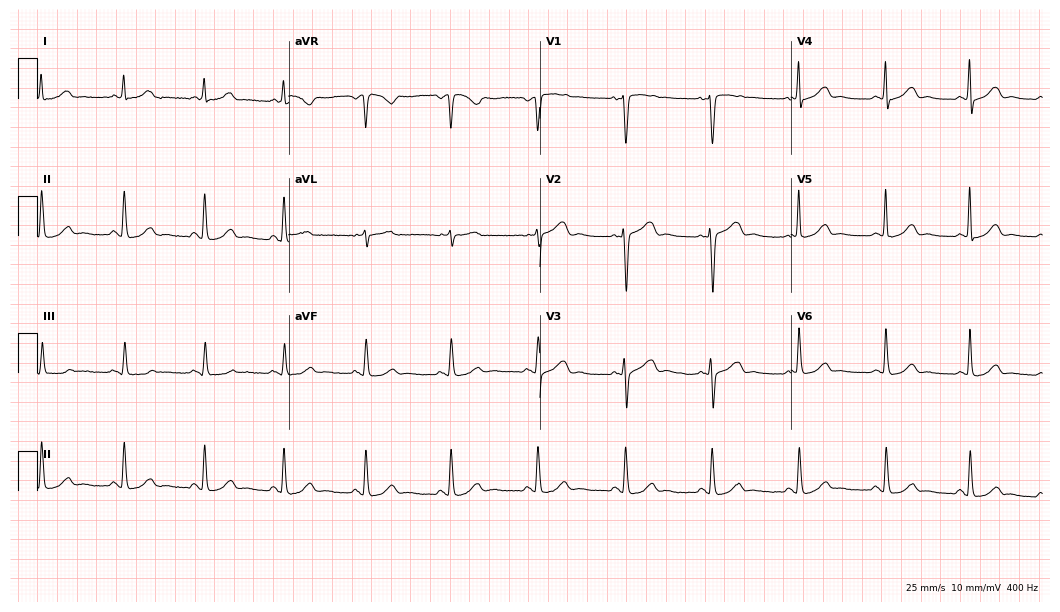
Resting 12-lead electrocardiogram. Patient: a female, 59 years old. None of these six findings is recorded: first-degree AV block, right bundle branch block, left bundle branch block, sinus bradycardia, atrial fibrillation, sinus tachycardia.